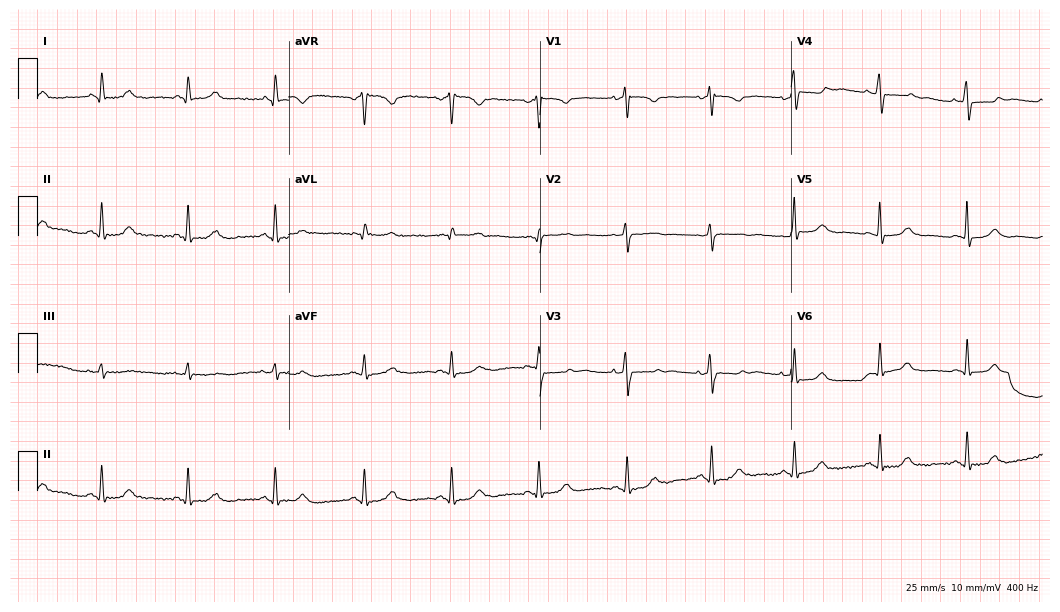
12-lead ECG from a female patient, 41 years old. Screened for six findings — first-degree AV block, right bundle branch block, left bundle branch block, sinus bradycardia, atrial fibrillation, sinus tachycardia — none is recorded. Other findings, if any, are not listed.